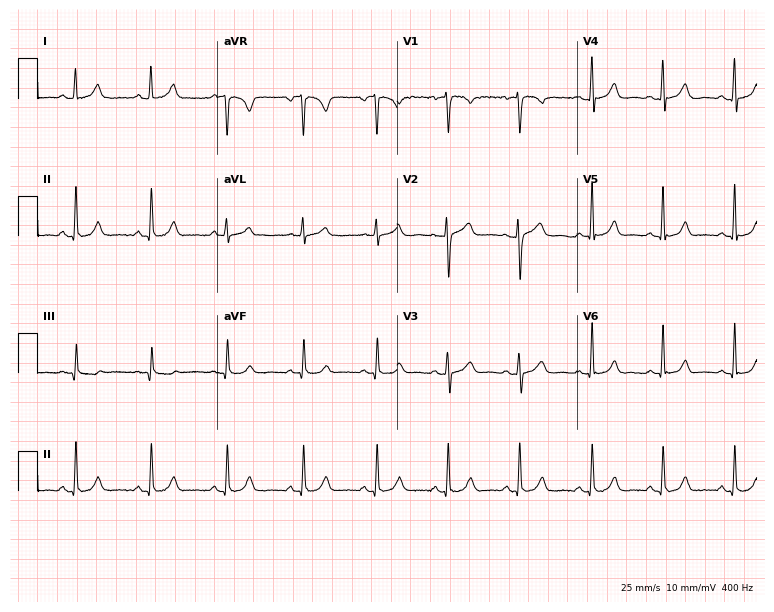
12-lead ECG from a female patient, 31 years old. Recorded interpretation: within normal limits.